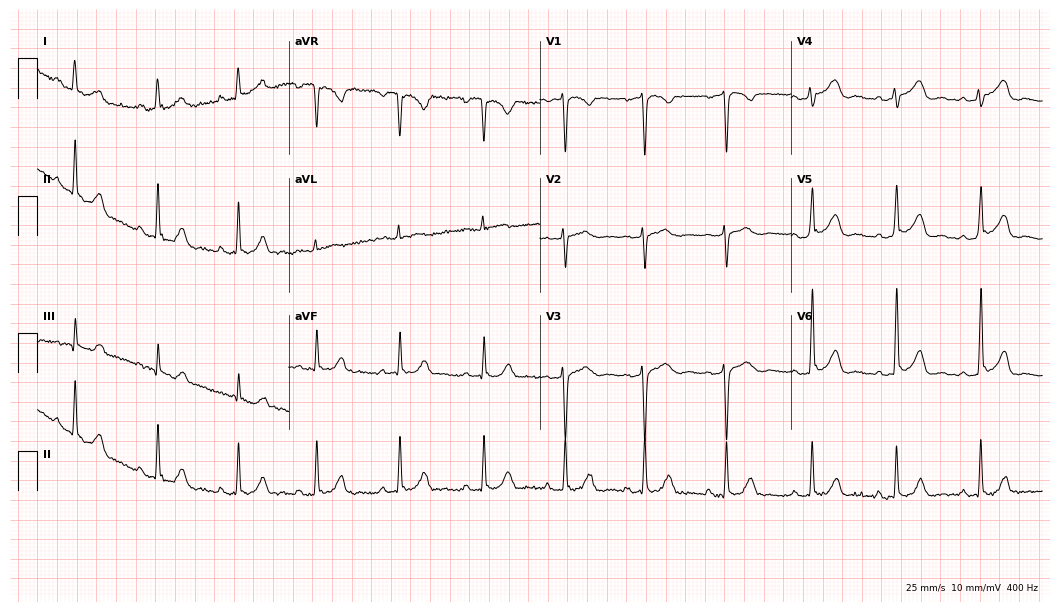
Resting 12-lead electrocardiogram (10.2-second recording at 400 Hz). Patient: a 43-year-old female. Read as a normal ECG.